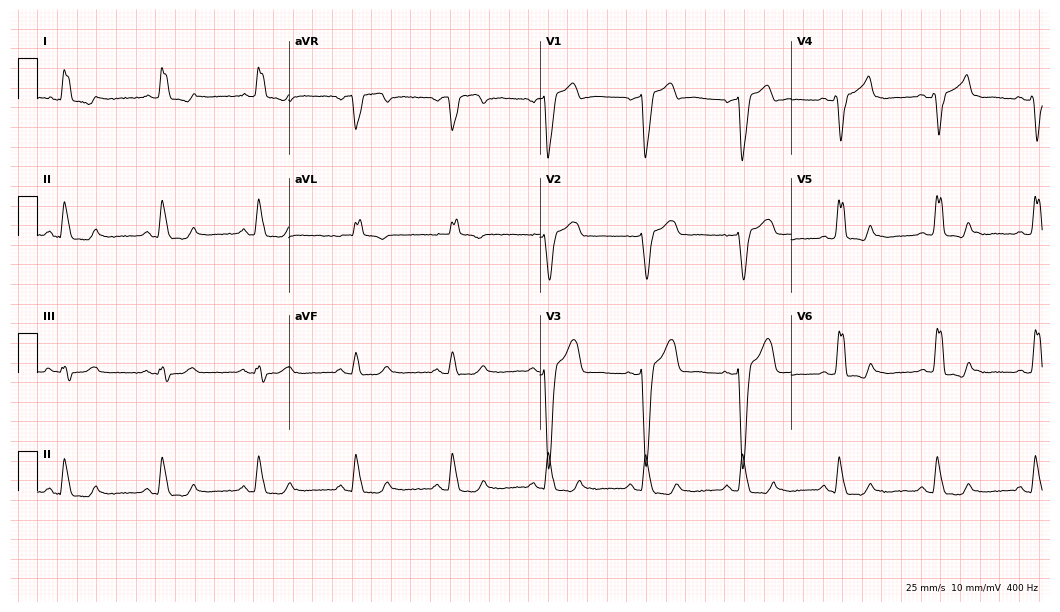
Resting 12-lead electrocardiogram (10.2-second recording at 400 Hz). Patient: a 65-year-old man. The tracing shows left bundle branch block.